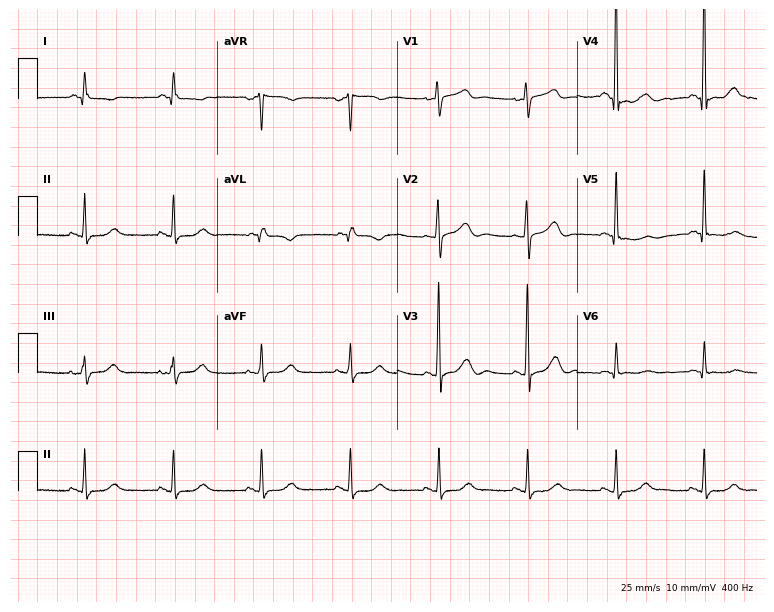
12-lead ECG from a 76-year-old female patient (7.3-second recording at 400 Hz). No first-degree AV block, right bundle branch block (RBBB), left bundle branch block (LBBB), sinus bradycardia, atrial fibrillation (AF) or sinus tachycardia recorded for this tracing.